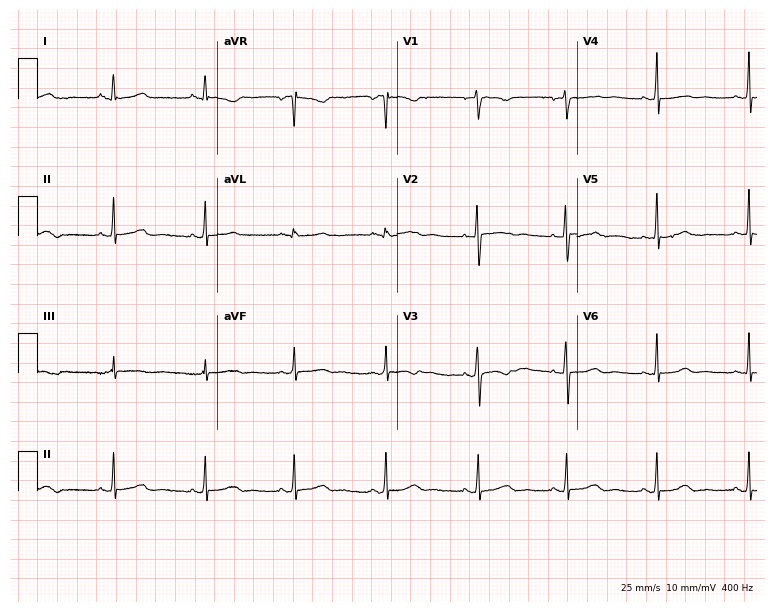
Resting 12-lead electrocardiogram. Patient: a 46-year-old female. None of these six findings is recorded: first-degree AV block, right bundle branch block (RBBB), left bundle branch block (LBBB), sinus bradycardia, atrial fibrillation (AF), sinus tachycardia. Only these six findings were labelled.